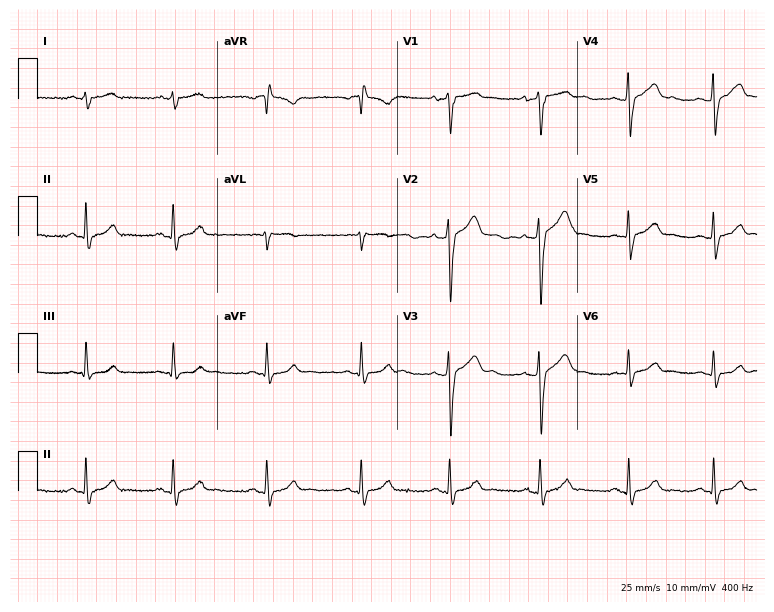
12-lead ECG from a 46-year-old male. Screened for six findings — first-degree AV block, right bundle branch block, left bundle branch block, sinus bradycardia, atrial fibrillation, sinus tachycardia — none is recorded. Only these six findings were labelled.